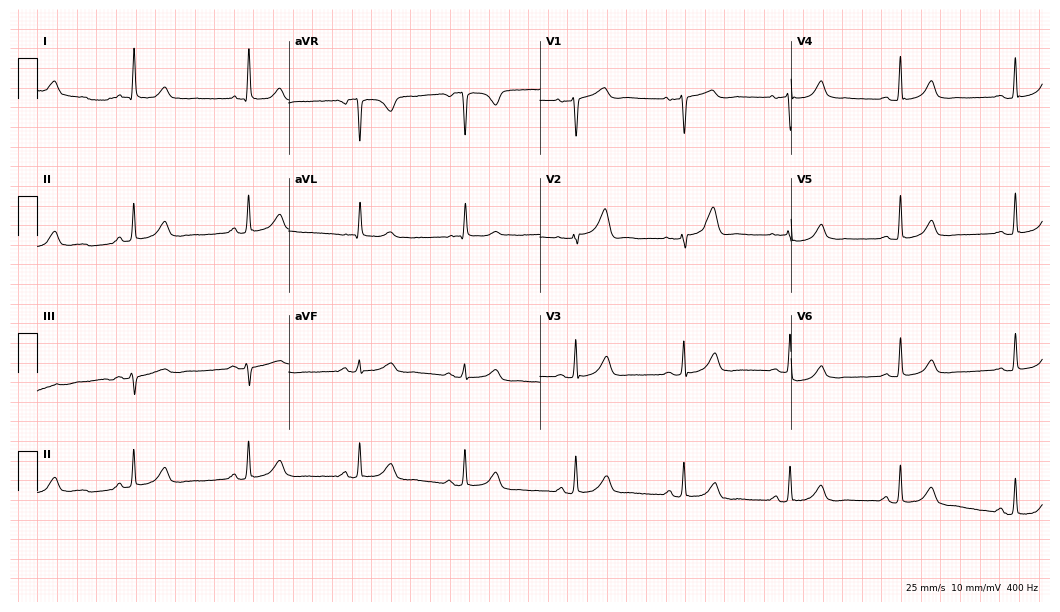
Resting 12-lead electrocardiogram (10.2-second recording at 400 Hz). Patient: a 69-year-old female. None of these six findings is recorded: first-degree AV block, right bundle branch block, left bundle branch block, sinus bradycardia, atrial fibrillation, sinus tachycardia.